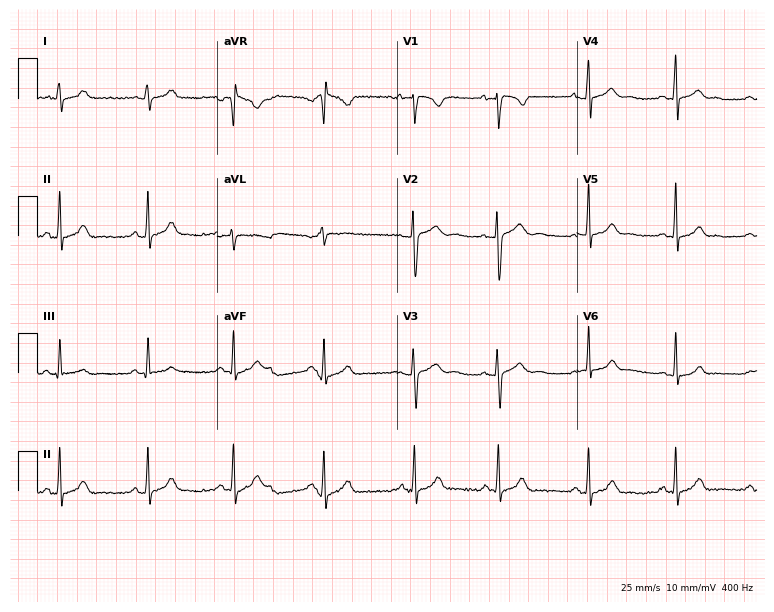
Electrocardiogram, a female patient, 18 years old. Overall reading on record: normal ECG.